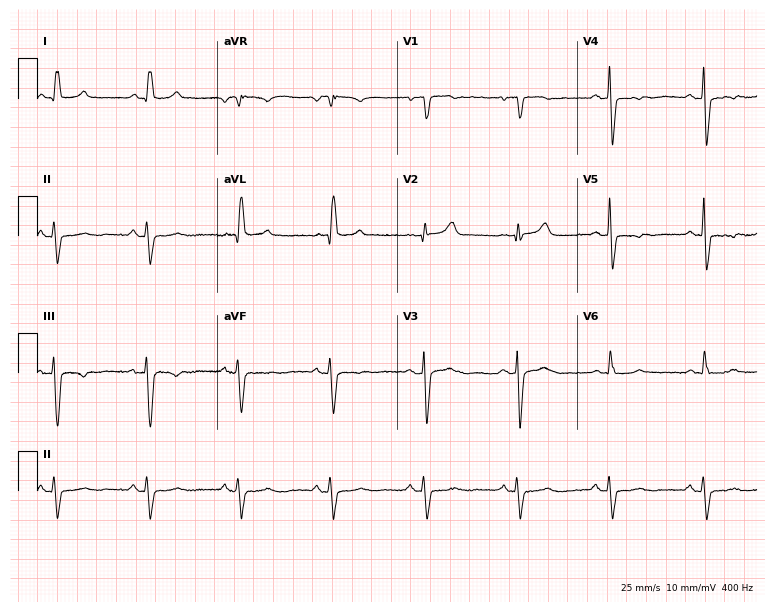
12-lead ECG from a man, 80 years old (7.3-second recording at 400 Hz). No first-degree AV block, right bundle branch block, left bundle branch block, sinus bradycardia, atrial fibrillation or sinus tachycardia recorded for this tracing.